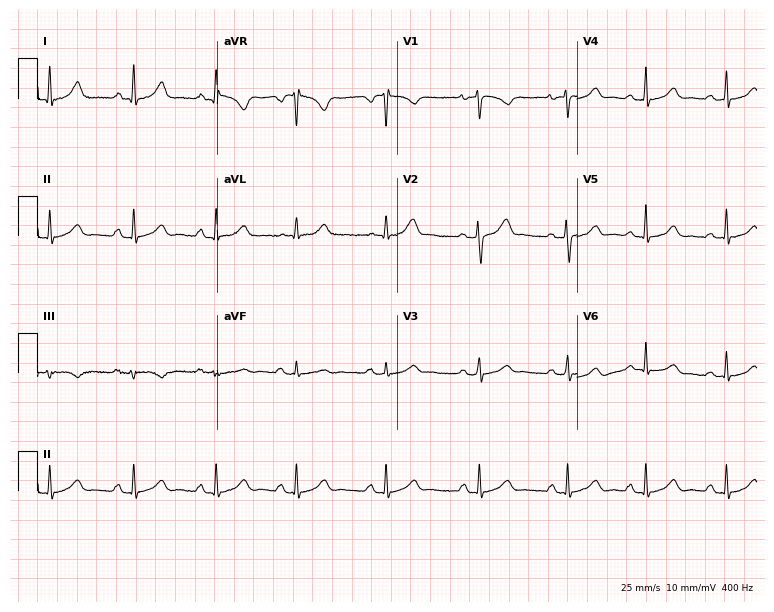
ECG — a 24-year-old female patient. Screened for six findings — first-degree AV block, right bundle branch block, left bundle branch block, sinus bradycardia, atrial fibrillation, sinus tachycardia — none is recorded.